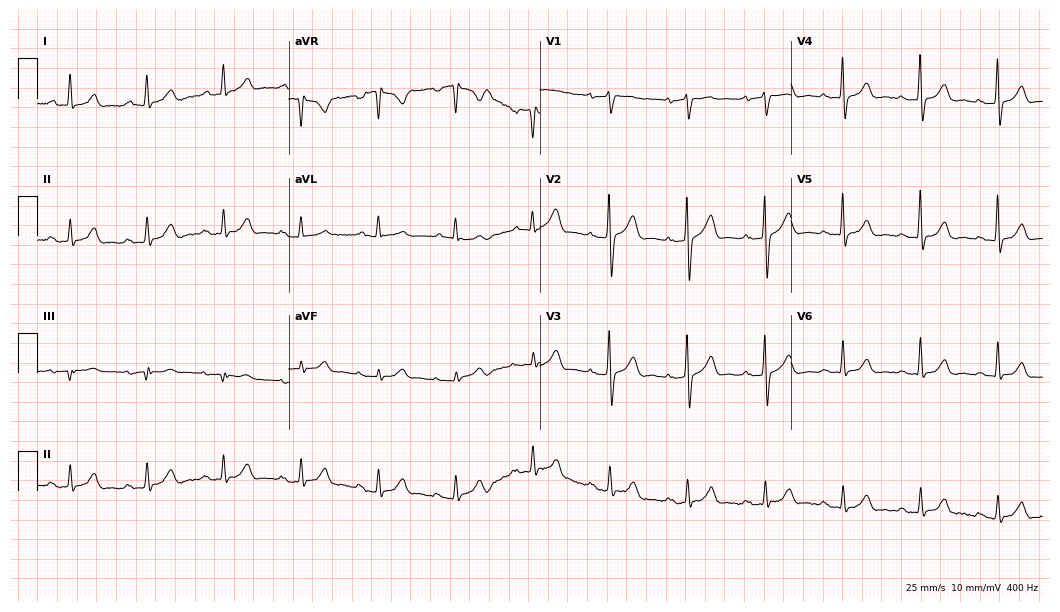
12-lead ECG (10.2-second recording at 400 Hz) from a male patient, 69 years old. Labelled as a normal ECG.